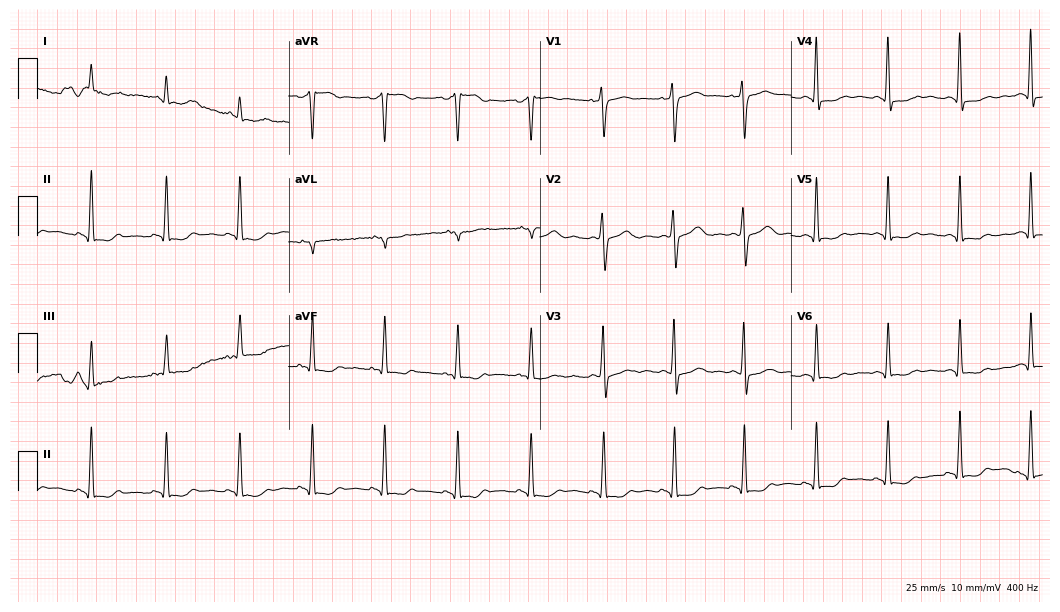
ECG (10.2-second recording at 400 Hz) — a female, 42 years old. Screened for six findings — first-degree AV block, right bundle branch block, left bundle branch block, sinus bradycardia, atrial fibrillation, sinus tachycardia — none is recorded.